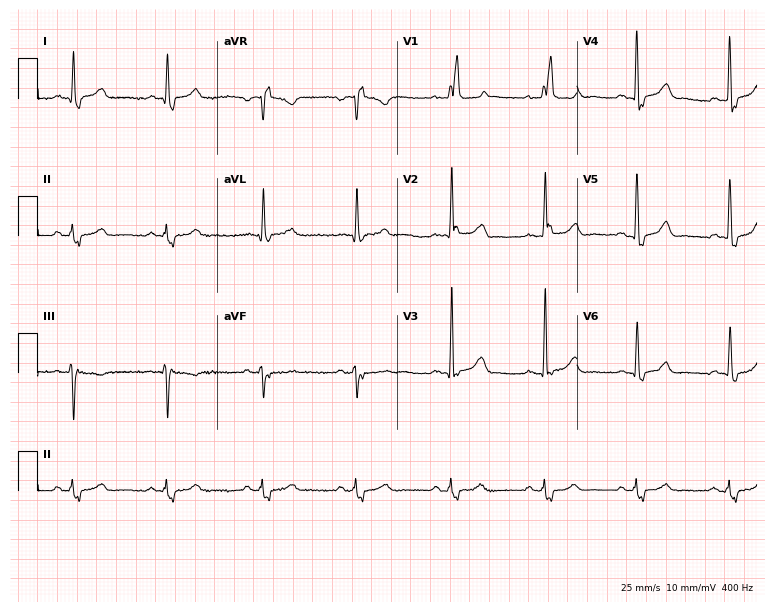
Resting 12-lead electrocardiogram (7.3-second recording at 400 Hz). Patient: a 76-year-old male. The tracing shows right bundle branch block (RBBB).